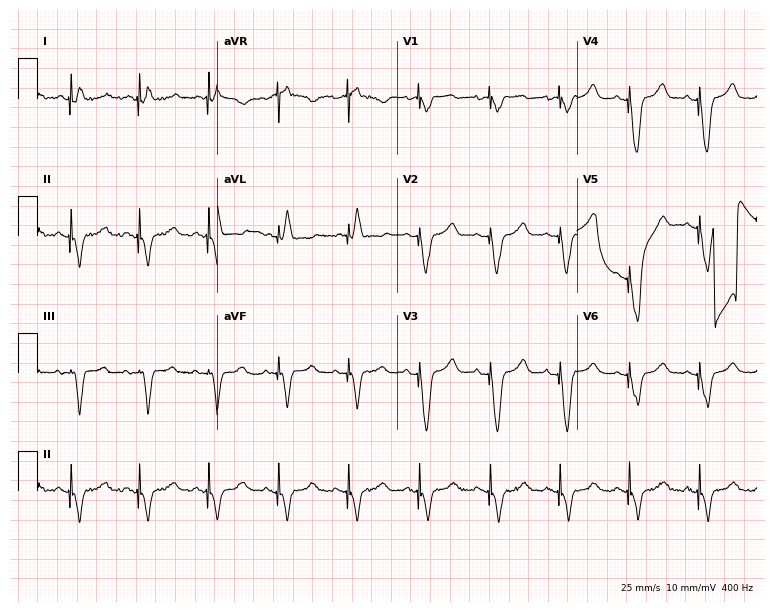
Electrocardiogram (7.3-second recording at 400 Hz), a 66-year-old woman. Of the six screened findings (first-degree AV block, right bundle branch block, left bundle branch block, sinus bradycardia, atrial fibrillation, sinus tachycardia), none is recorded.